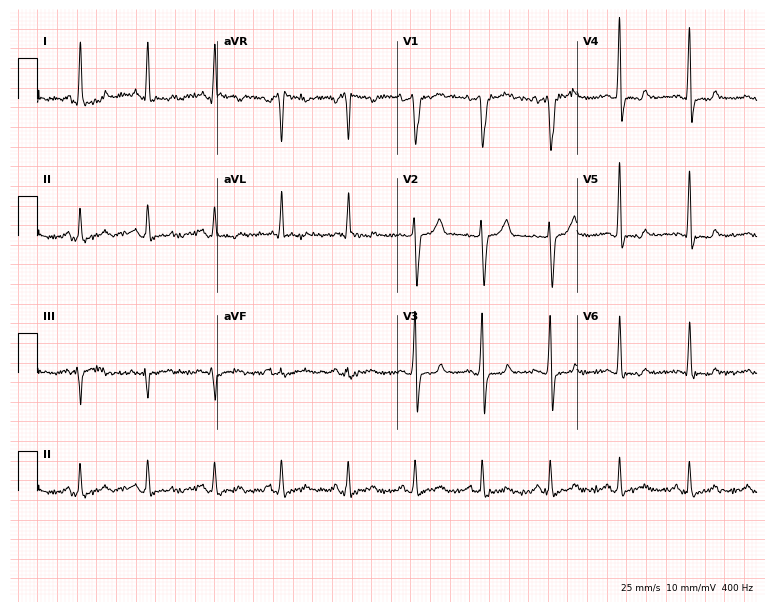
Electrocardiogram (7.3-second recording at 400 Hz), a male, 44 years old. Of the six screened findings (first-degree AV block, right bundle branch block (RBBB), left bundle branch block (LBBB), sinus bradycardia, atrial fibrillation (AF), sinus tachycardia), none is recorded. Other findings, if any, are not listed.